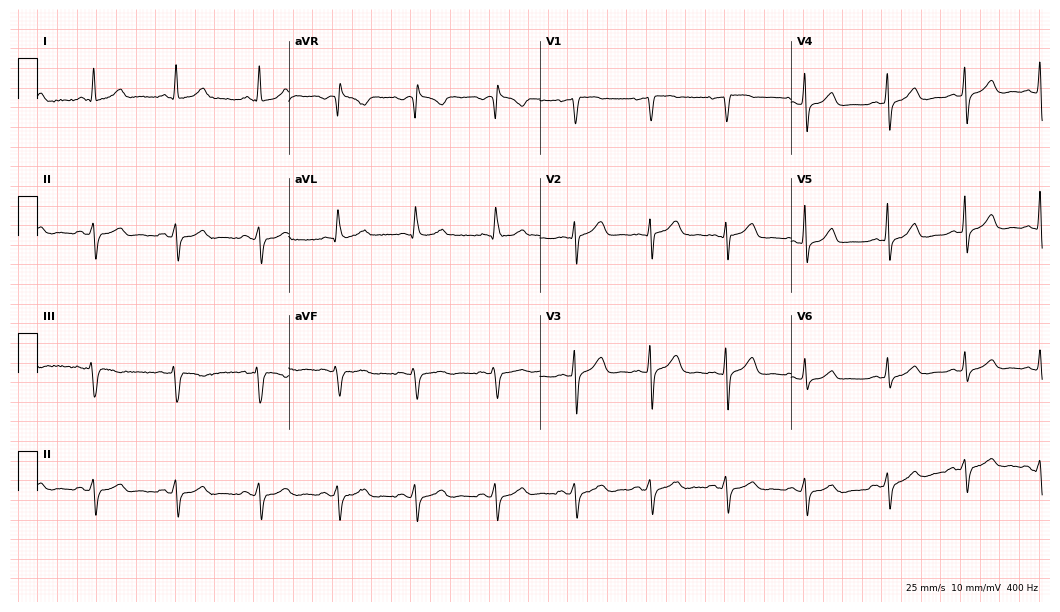
Resting 12-lead electrocardiogram (10.2-second recording at 400 Hz). Patient: a 63-year-old female. None of these six findings is recorded: first-degree AV block, right bundle branch block, left bundle branch block, sinus bradycardia, atrial fibrillation, sinus tachycardia.